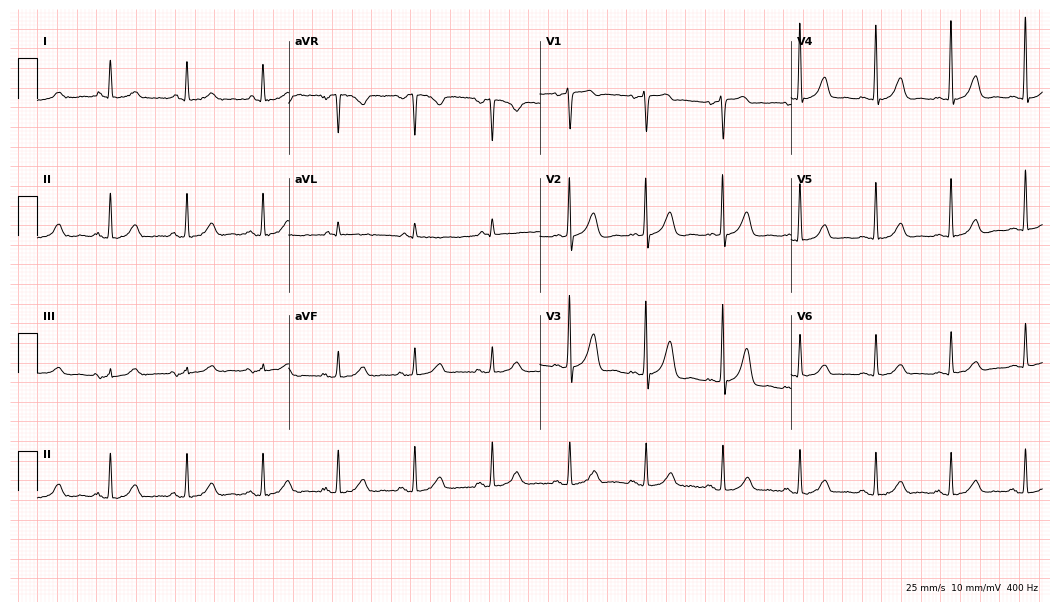
12-lead ECG from a female patient, 70 years old. No first-degree AV block, right bundle branch block, left bundle branch block, sinus bradycardia, atrial fibrillation or sinus tachycardia recorded for this tracing. Only these six findings were labelled.